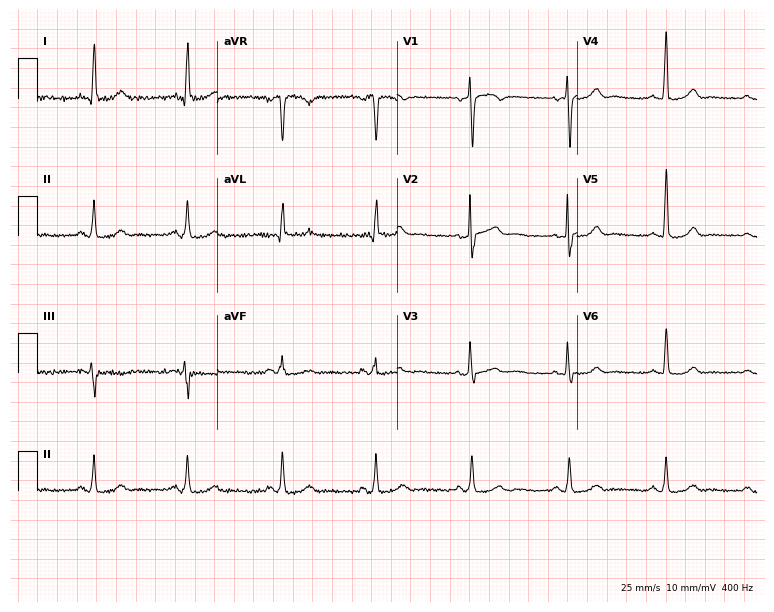
ECG — an 80-year-old female patient. Labelled as a normal ECG.